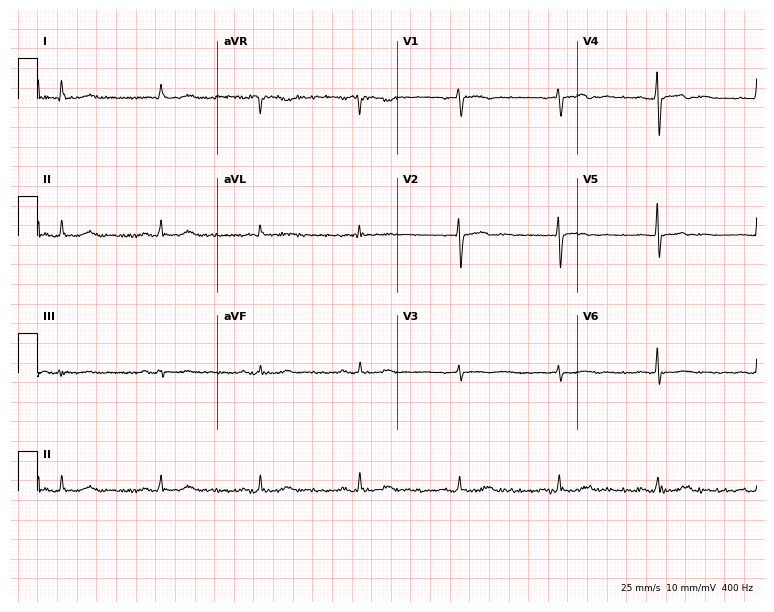
Electrocardiogram (7.3-second recording at 400 Hz), a female patient, 81 years old. Of the six screened findings (first-degree AV block, right bundle branch block (RBBB), left bundle branch block (LBBB), sinus bradycardia, atrial fibrillation (AF), sinus tachycardia), none is recorded.